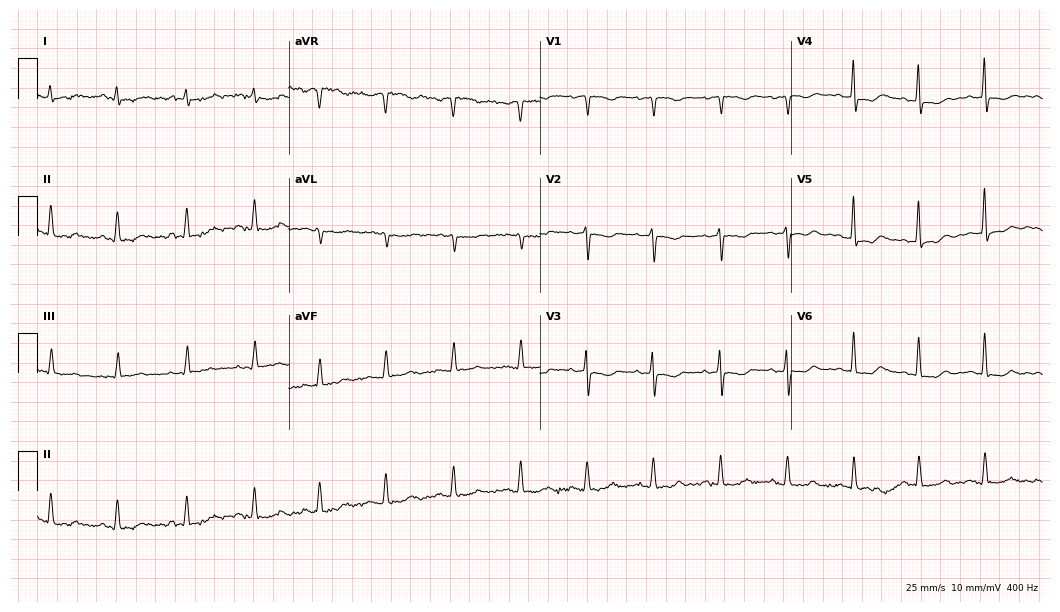
ECG — a woman, 55 years old. Screened for six findings — first-degree AV block, right bundle branch block (RBBB), left bundle branch block (LBBB), sinus bradycardia, atrial fibrillation (AF), sinus tachycardia — none is recorded.